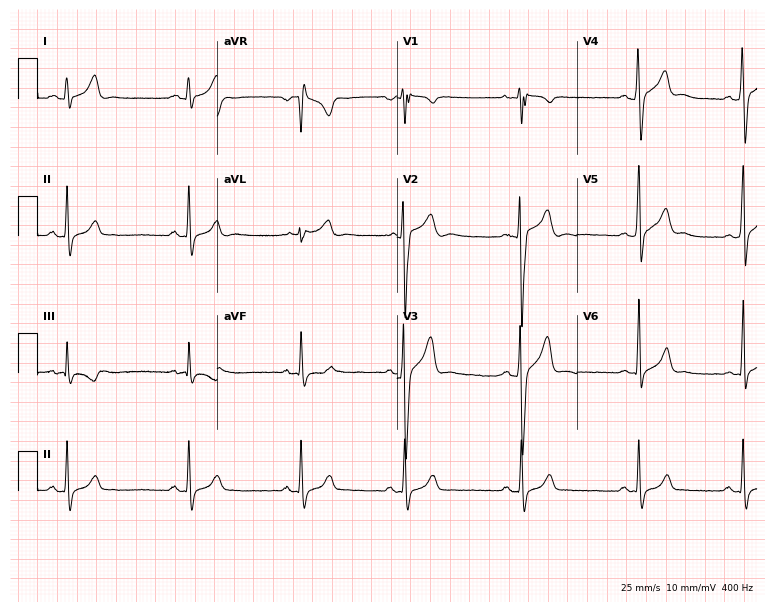
Standard 12-lead ECG recorded from a male, 22 years old. None of these six findings is recorded: first-degree AV block, right bundle branch block (RBBB), left bundle branch block (LBBB), sinus bradycardia, atrial fibrillation (AF), sinus tachycardia. Findings outside these six are not listed.